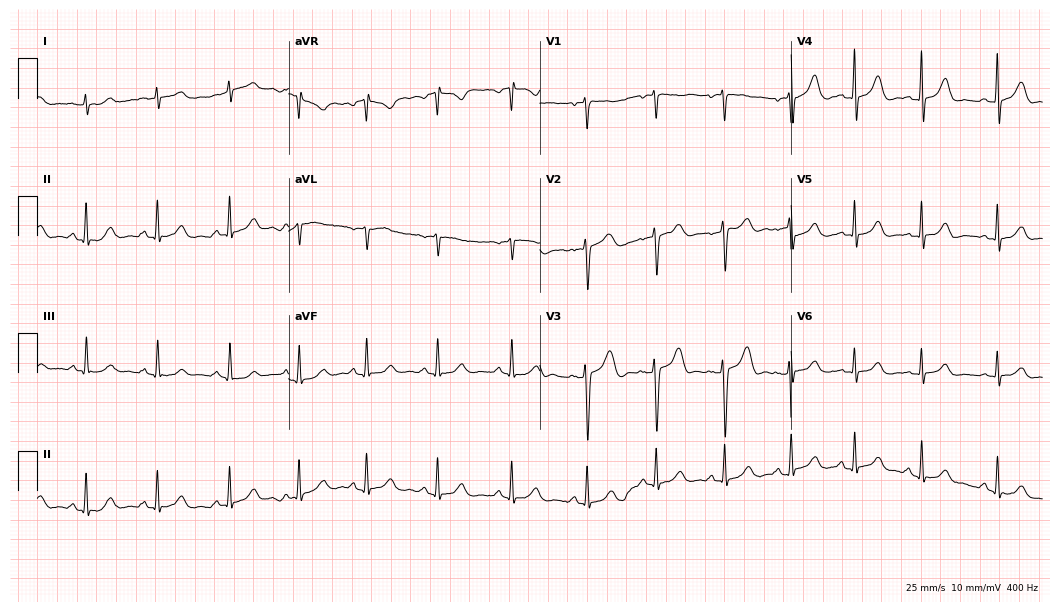
Resting 12-lead electrocardiogram. Patient: a woman, 43 years old. Read as a normal ECG.